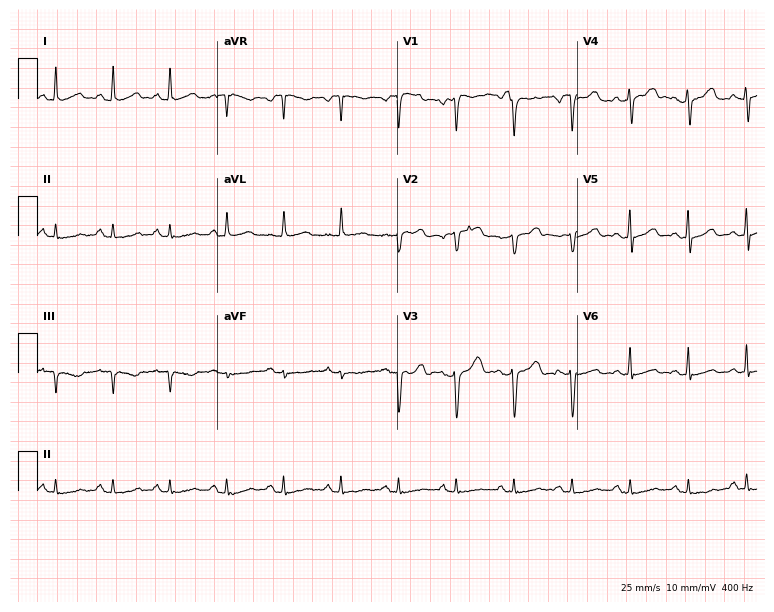
Electrocardiogram, a 47-year-old female patient. Interpretation includes sinus tachycardia (a sinus rate of 100 beats per minute or more).